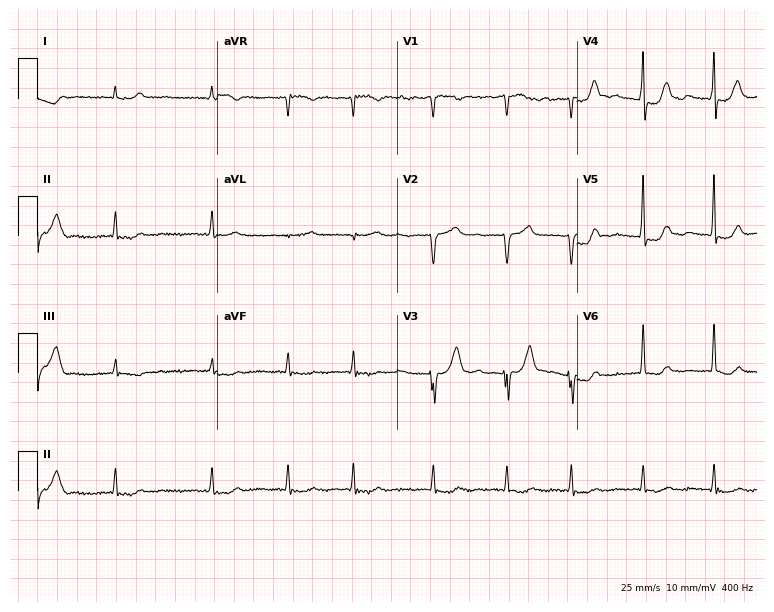
ECG (7.3-second recording at 400 Hz) — a 71-year-old male patient. Findings include atrial fibrillation.